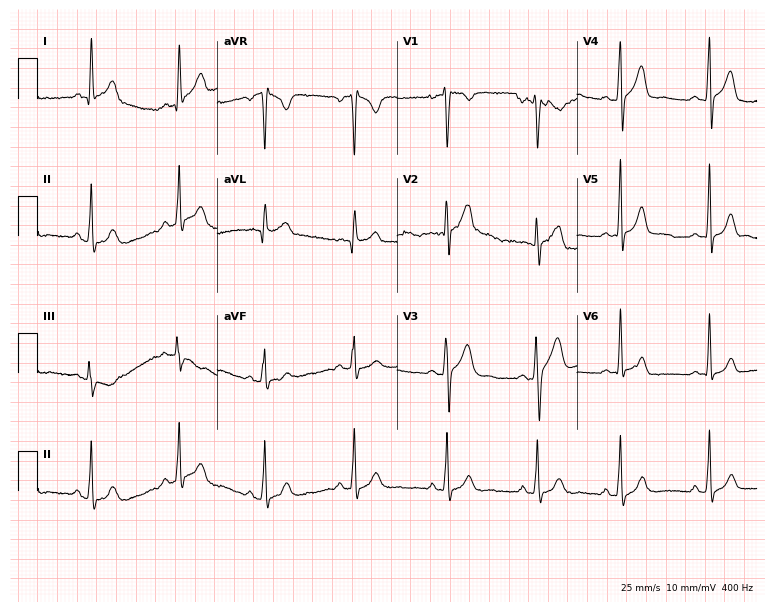
Standard 12-lead ECG recorded from a man, 29 years old (7.3-second recording at 400 Hz). Read as a normal ECG.